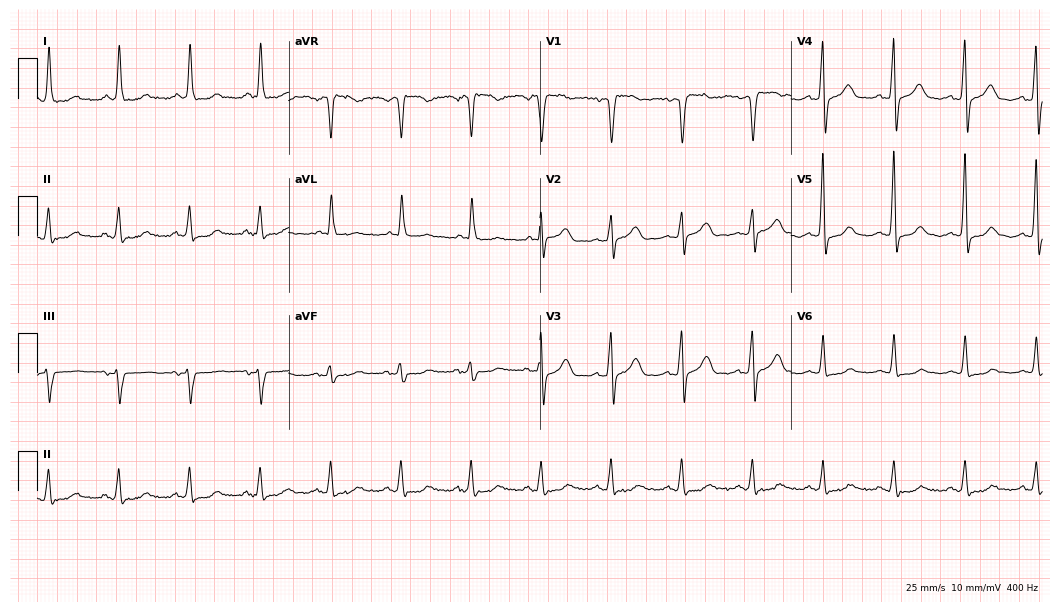
12-lead ECG from a 76-year-old woman. No first-degree AV block, right bundle branch block, left bundle branch block, sinus bradycardia, atrial fibrillation or sinus tachycardia recorded for this tracing. Findings outside these six are not listed.